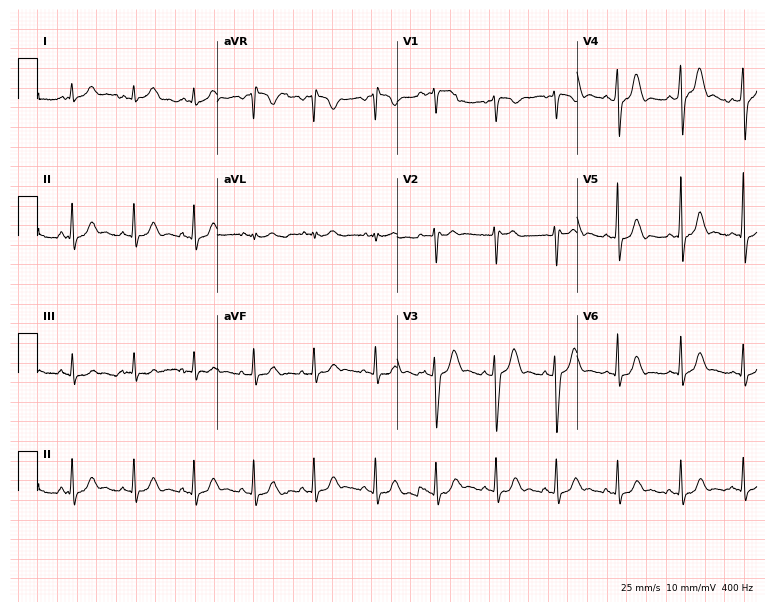
ECG (7.3-second recording at 400 Hz) — a 35-year-old woman. Screened for six findings — first-degree AV block, right bundle branch block (RBBB), left bundle branch block (LBBB), sinus bradycardia, atrial fibrillation (AF), sinus tachycardia — none is recorded. Other findings, if any, are not listed.